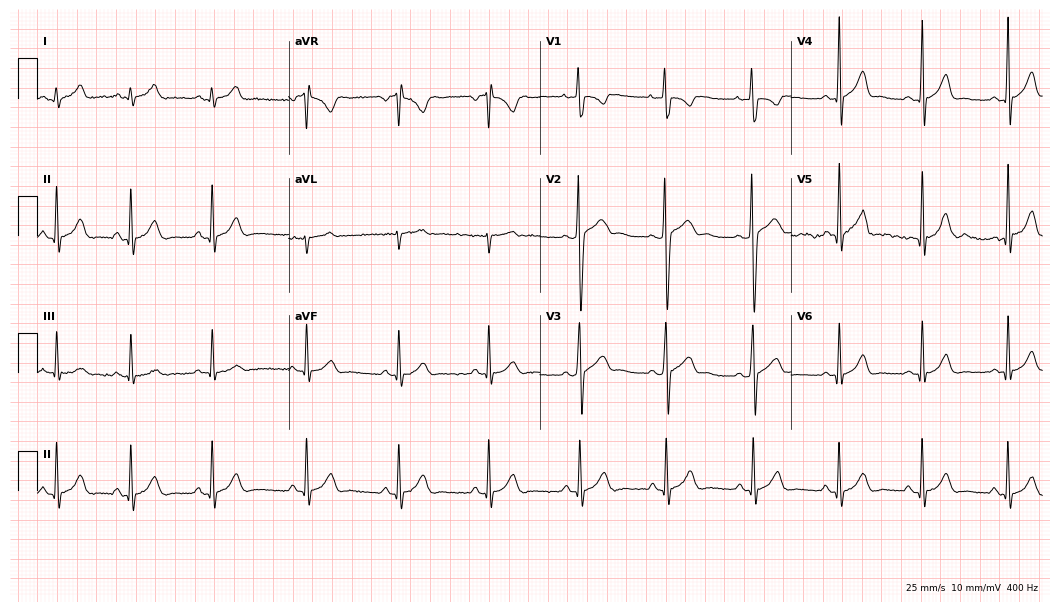
Standard 12-lead ECG recorded from a 20-year-old man (10.2-second recording at 400 Hz). Read as a normal ECG.